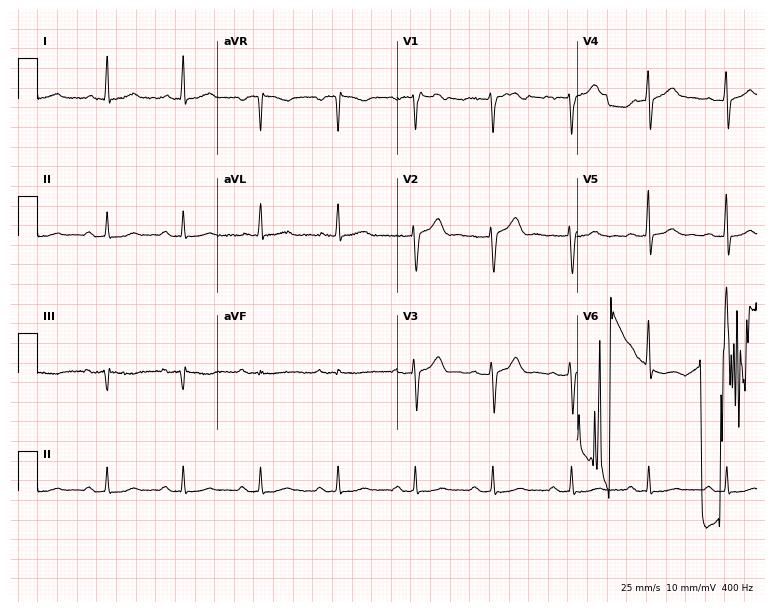
Resting 12-lead electrocardiogram (7.3-second recording at 400 Hz). Patient: a man, 70 years old. None of these six findings is recorded: first-degree AV block, right bundle branch block, left bundle branch block, sinus bradycardia, atrial fibrillation, sinus tachycardia. Only these six findings were labelled.